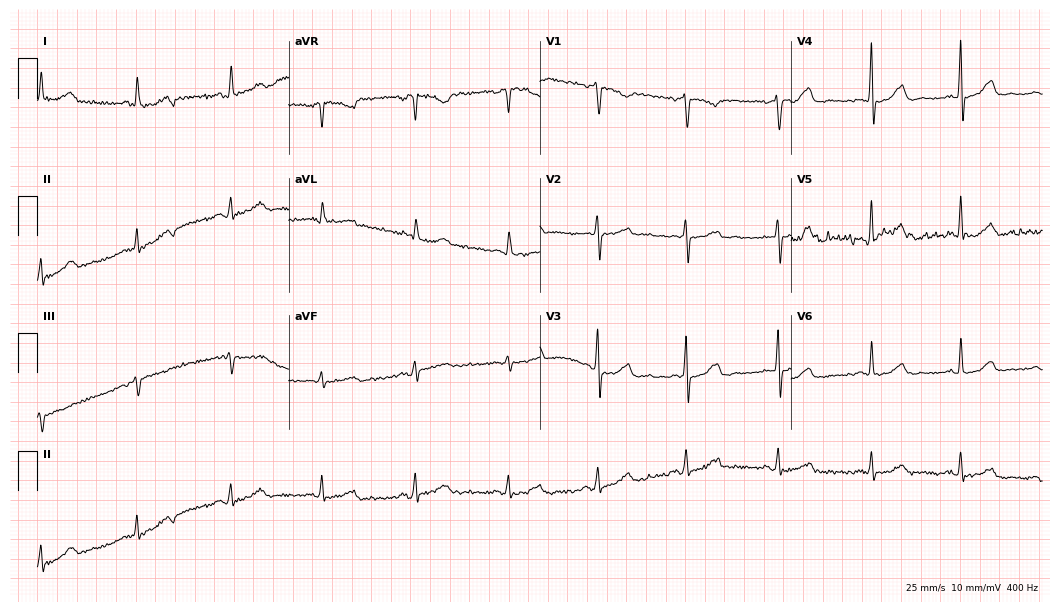
ECG (10.2-second recording at 400 Hz) — a 73-year-old woman. Screened for six findings — first-degree AV block, right bundle branch block, left bundle branch block, sinus bradycardia, atrial fibrillation, sinus tachycardia — none is recorded.